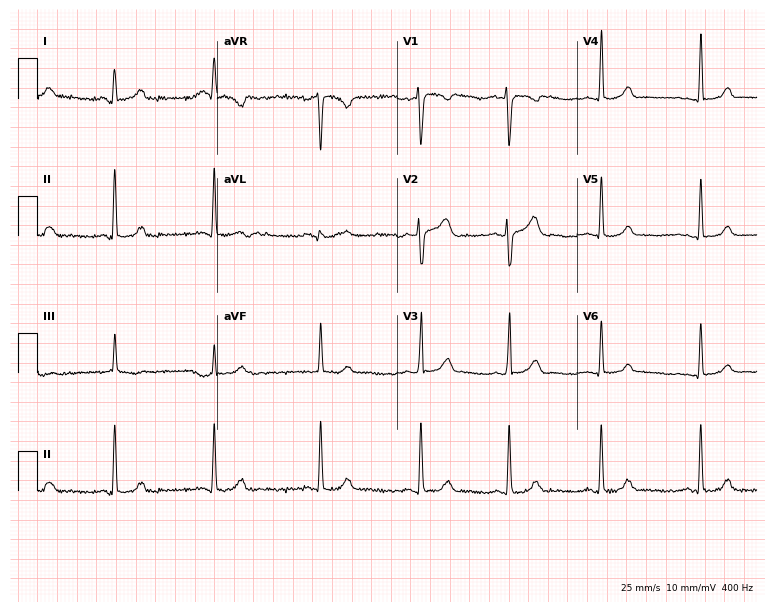
Resting 12-lead electrocardiogram. Patient: a 33-year-old woman. Read as a normal ECG.